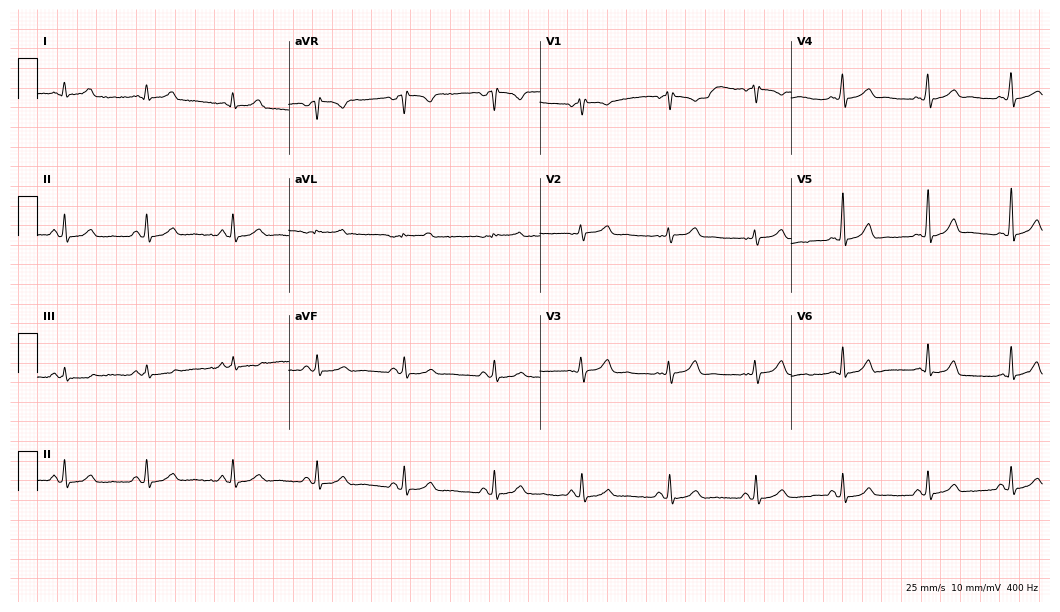
Standard 12-lead ECG recorded from a woman, 37 years old. Read as a normal ECG.